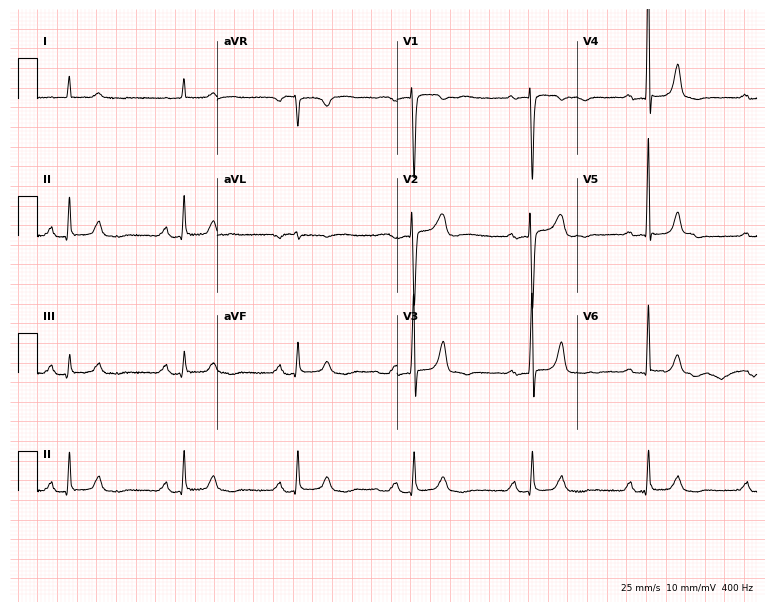
12-lead ECG from a male, 78 years old (7.3-second recording at 400 Hz). Recorded interpretation: within normal limits.